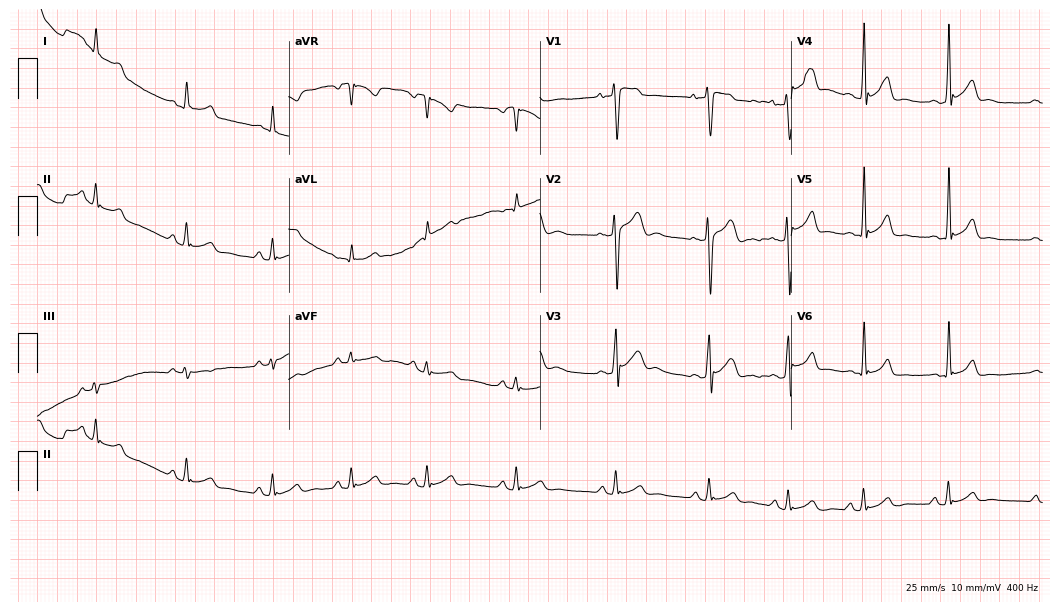
ECG — a 21-year-old male patient. Screened for six findings — first-degree AV block, right bundle branch block (RBBB), left bundle branch block (LBBB), sinus bradycardia, atrial fibrillation (AF), sinus tachycardia — none is recorded. Only these six findings were labelled.